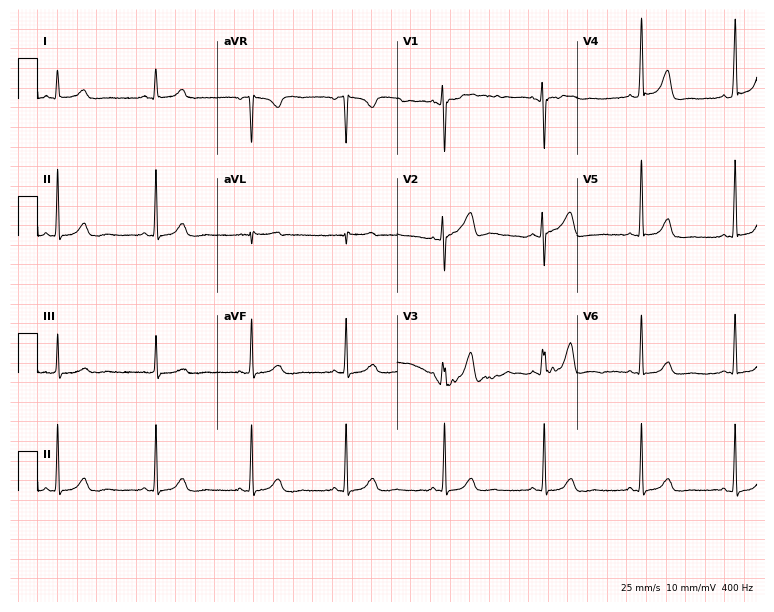
Standard 12-lead ECG recorded from a woman, 52 years old. None of these six findings is recorded: first-degree AV block, right bundle branch block, left bundle branch block, sinus bradycardia, atrial fibrillation, sinus tachycardia.